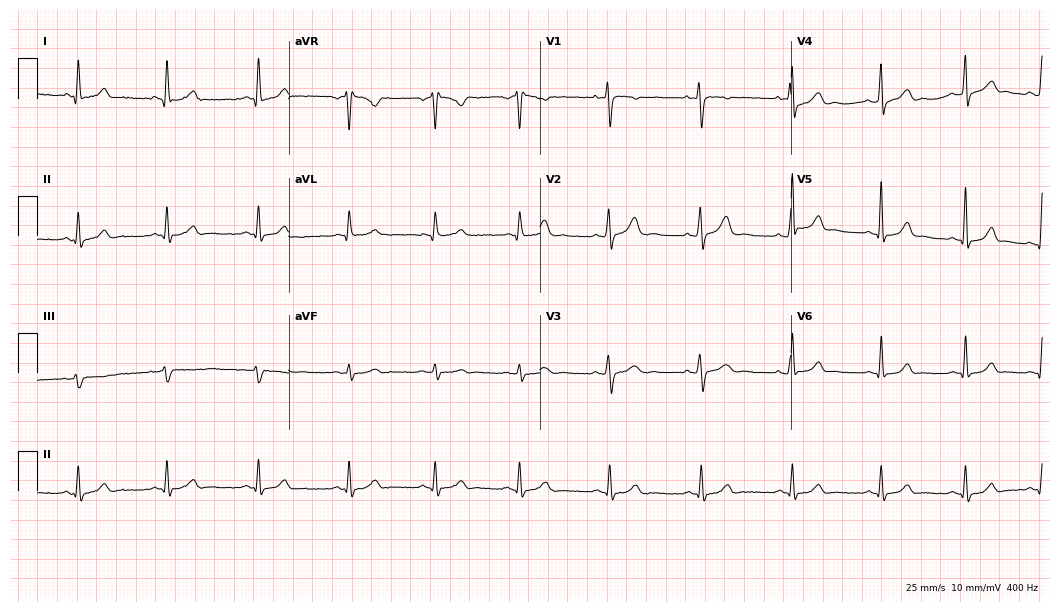
ECG — a 23-year-old female patient. Labelled as a normal ECG.